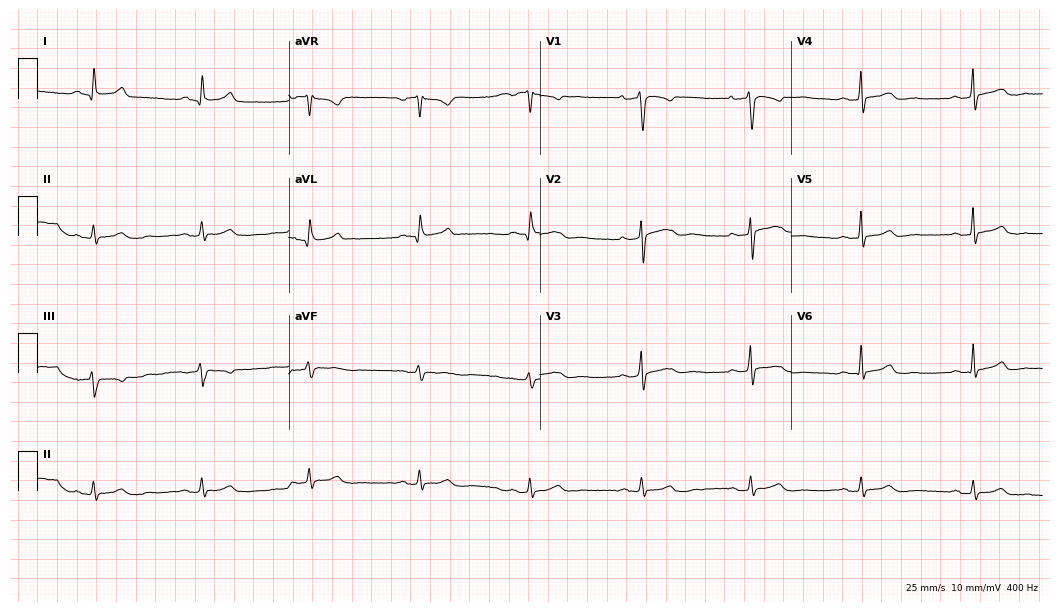
Resting 12-lead electrocardiogram (10.2-second recording at 400 Hz). Patient: a man, 55 years old. Read as a normal ECG.